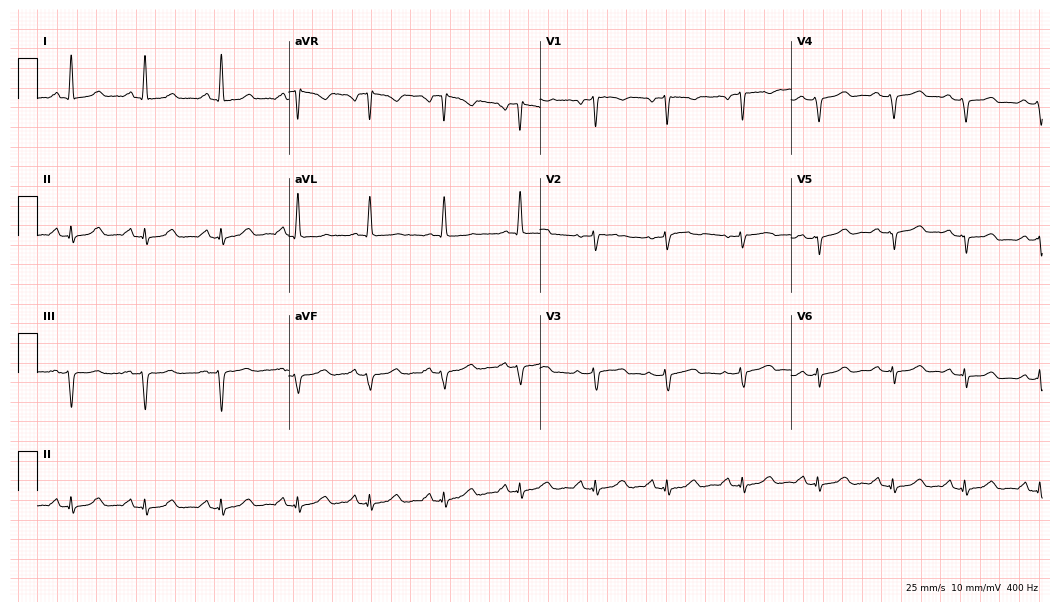
Resting 12-lead electrocardiogram (10.2-second recording at 400 Hz). Patient: a woman, 45 years old. None of these six findings is recorded: first-degree AV block, right bundle branch block, left bundle branch block, sinus bradycardia, atrial fibrillation, sinus tachycardia. Findings outside these six are not listed.